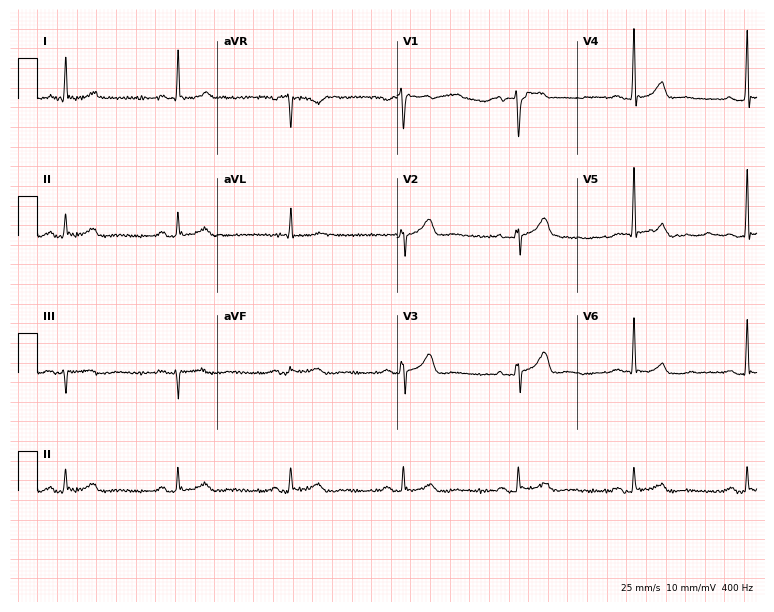
12-lead ECG from a male, 66 years old. Labelled as a normal ECG.